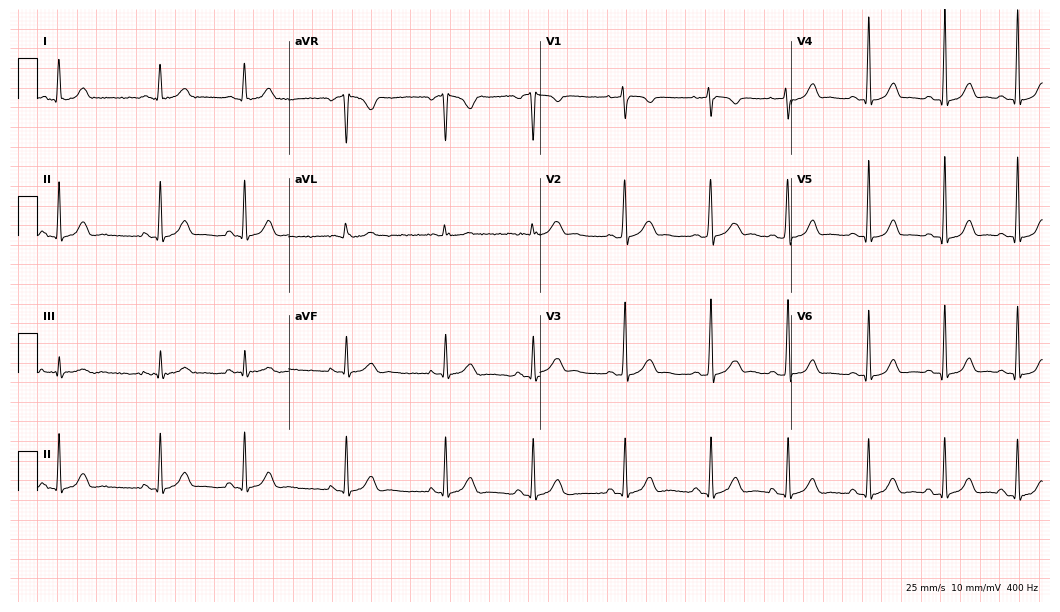
Standard 12-lead ECG recorded from a female, 22 years old. None of these six findings is recorded: first-degree AV block, right bundle branch block (RBBB), left bundle branch block (LBBB), sinus bradycardia, atrial fibrillation (AF), sinus tachycardia.